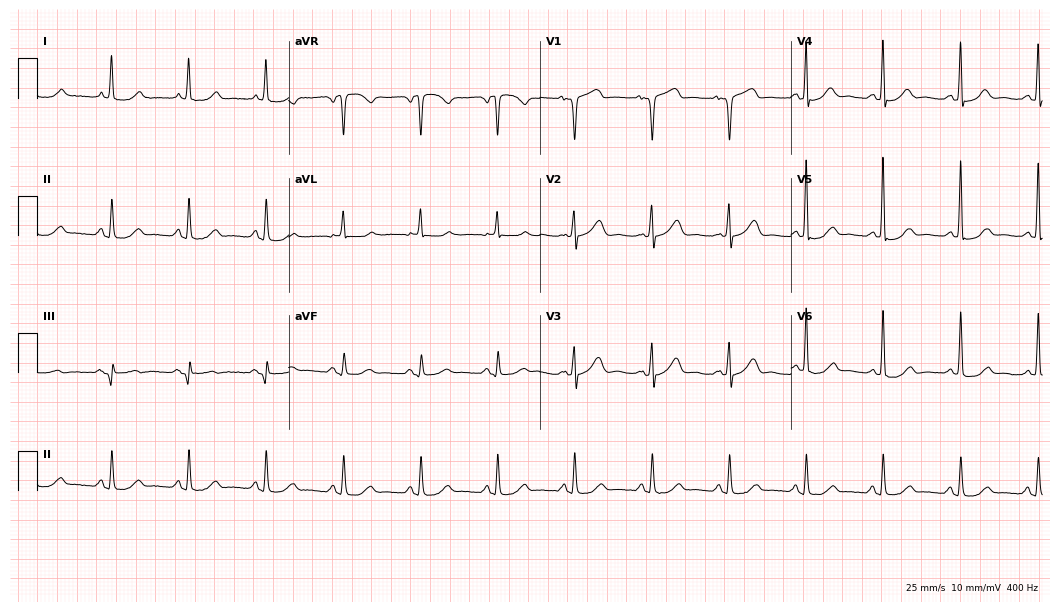
12-lead ECG from a 74-year-old female patient (10.2-second recording at 400 Hz). Recorded interpretation: within normal limits.